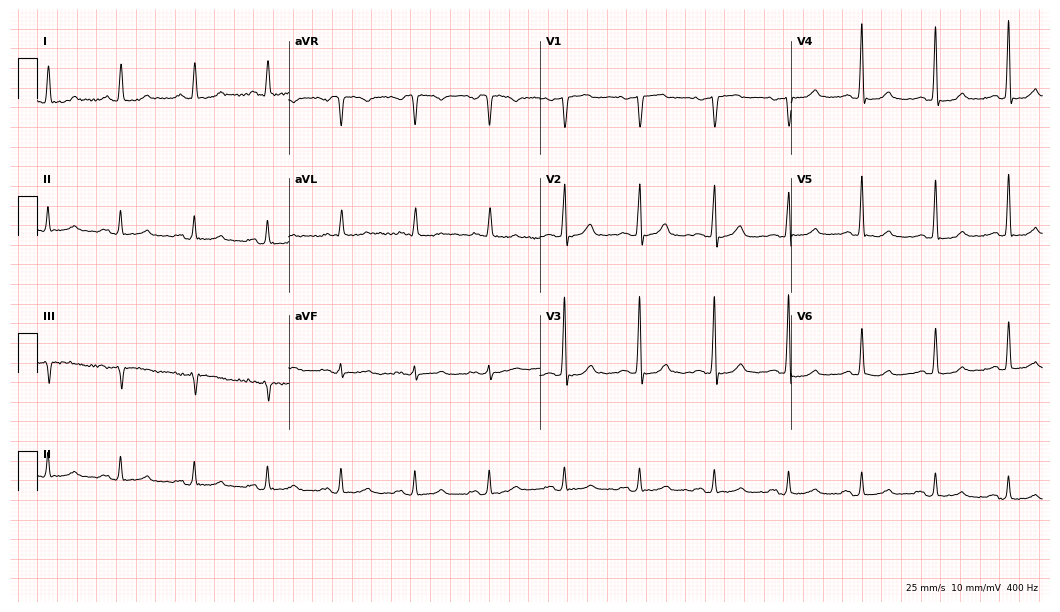
Electrocardiogram (10.2-second recording at 400 Hz), a woman, 69 years old. Of the six screened findings (first-degree AV block, right bundle branch block, left bundle branch block, sinus bradycardia, atrial fibrillation, sinus tachycardia), none is recorded.